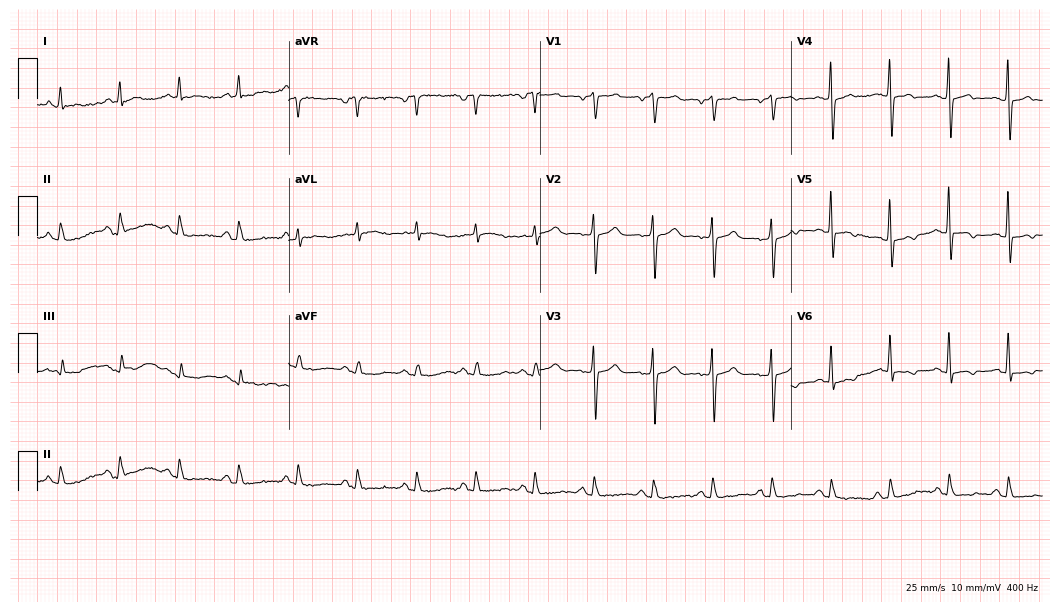
ECG (10.2-second recording at 400 Hz) — a 76-year-old male patient. Screened for six findings — first-degree AV block, right bundle branch block, left bundle branch block, sinus bradycardia, atrial fibrillation, sinus tachycardia — none is recorded. Findings outside these six are not listed.